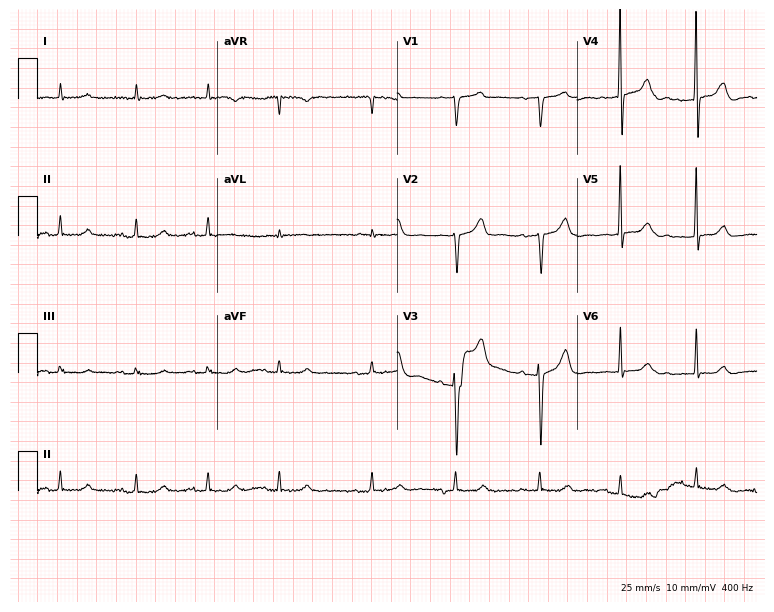
12-lead ECG (7.3-second recording at 400 Hz) from a male patient, 80 years old. Screened for six findings — first-degree AV block, right bundle branch block, left bundle branch block, sinus bradycardia, atrial fibrillation, sinus tachycardia — none is recorded. Other findings, if any, are not listed.